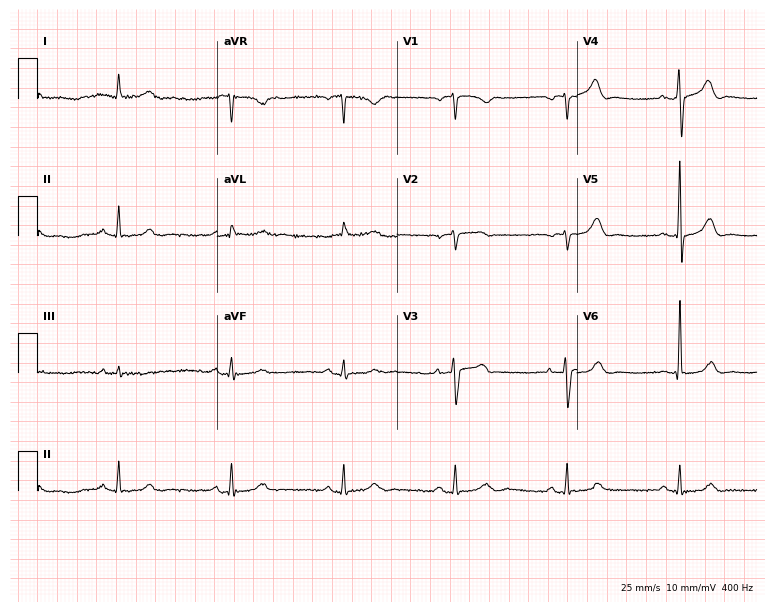
Standard 12-lead ECG recorded from an 81-year-old male. Read as a normal ECG.